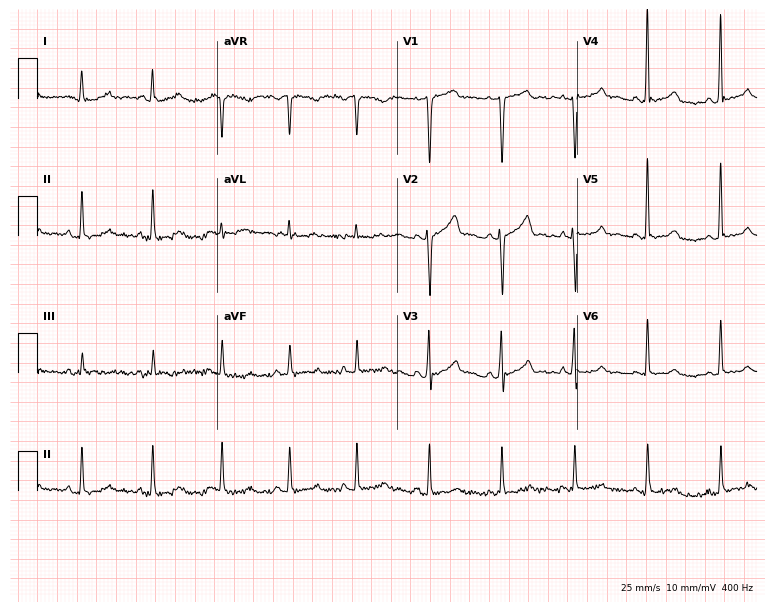
Electrocardiogram, a 61-year-old man. Overall reading on record: normal ECG.